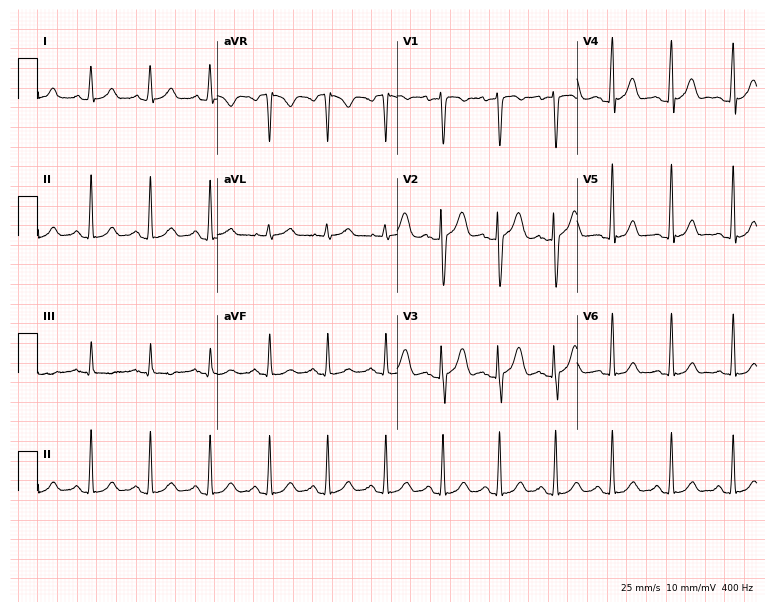
12-lead ECG (7.3-second recording at 400 Hz) from a female patient, 31 years old. Findings include sinus tachycardia (a sinus rate of 100 beats per minute or more).